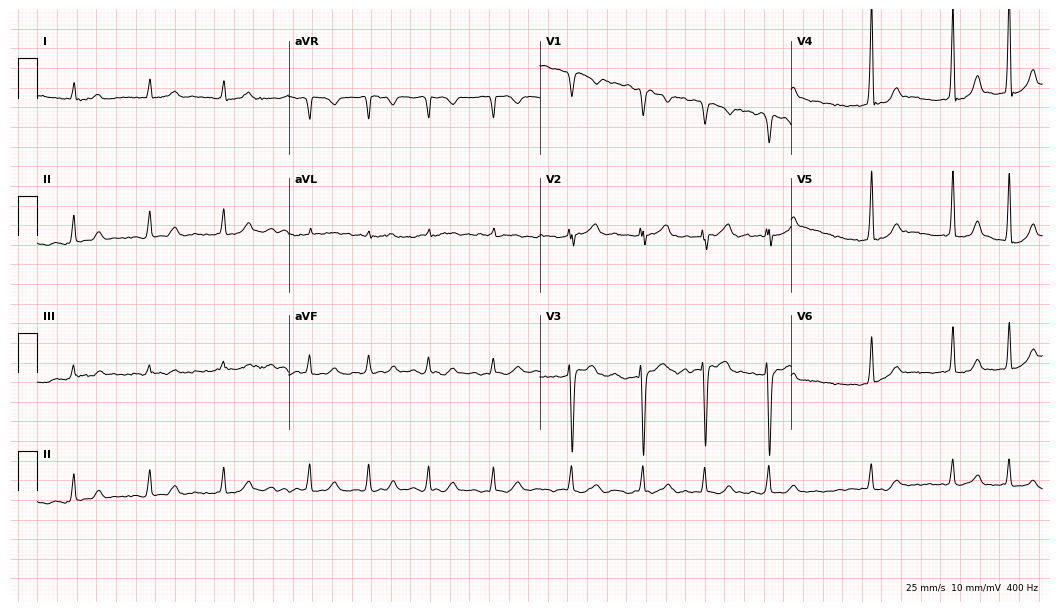
12-lead ECG from a 42-year-old male patient (10.2-second recording at 400 Hz). No first-degree AV block, right bundle branch block, left bundle branch block, sinus bradycardia, atrial fibrillation or sinus tachycardia recorded for this tracing. Findings outside these six are not listed.